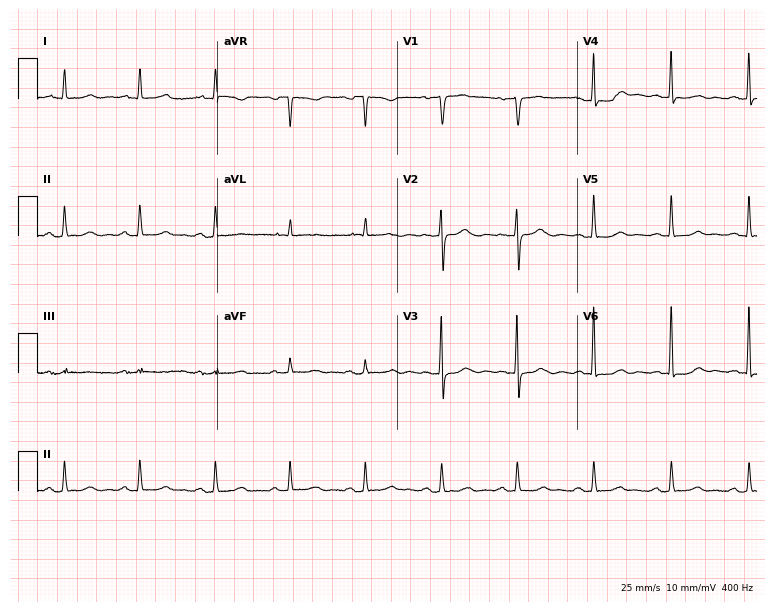
ECG (7.3-second recording at 400 Hz) — a 62-year-old female. Screened for six findings — first-degree AV block, right bundle branch block, left bundle branch block, sinus bradycardia, atrial fibrillation, sinus tachycardia — none is recorded. Findings outside these six are not listed.